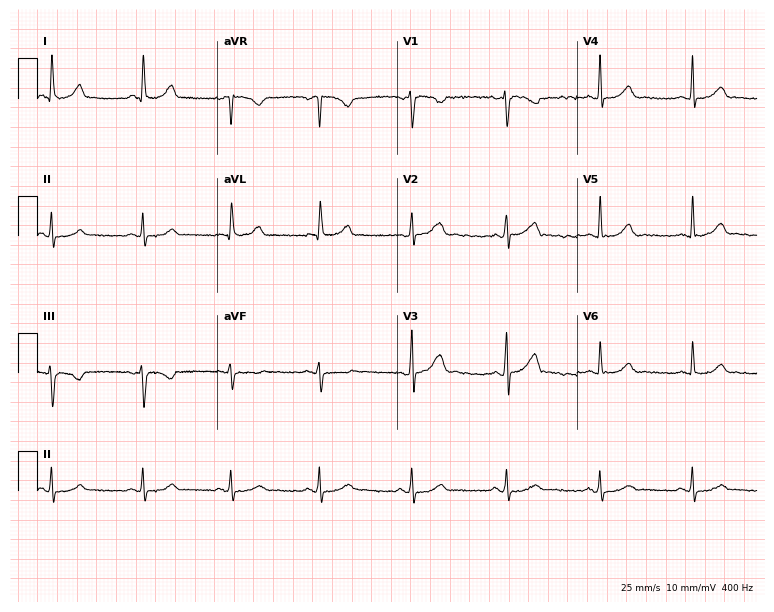
12-lead ECG (7.3-second recording at 400 Hz) from a 46-year-old female. Labelled as a normal ECG.